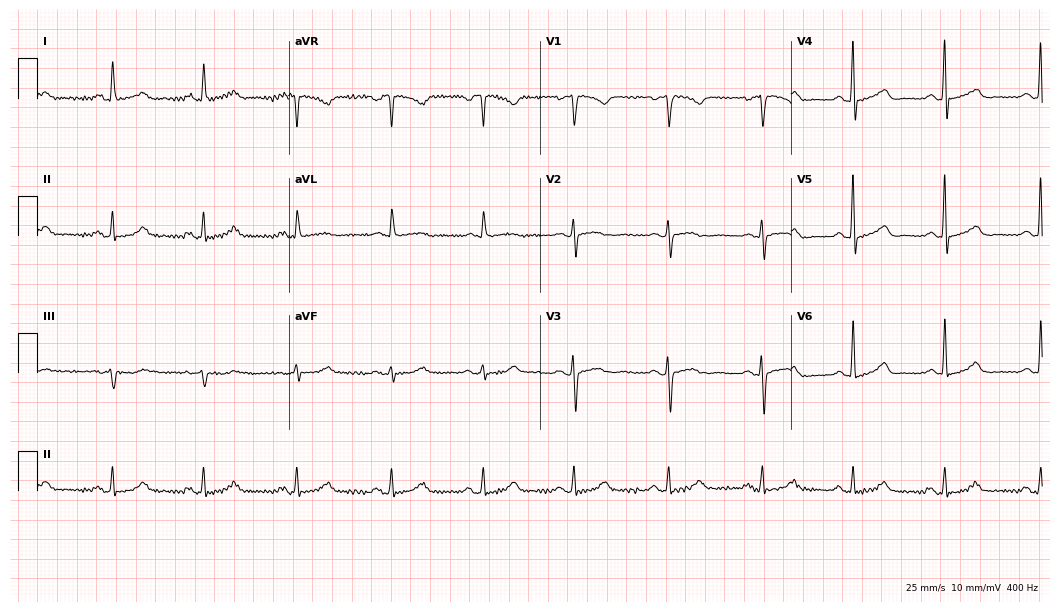
12-lead ECG (10.2-second recording at 400 Hz) from a female, 63 years old. Labelled as a normal ECG.